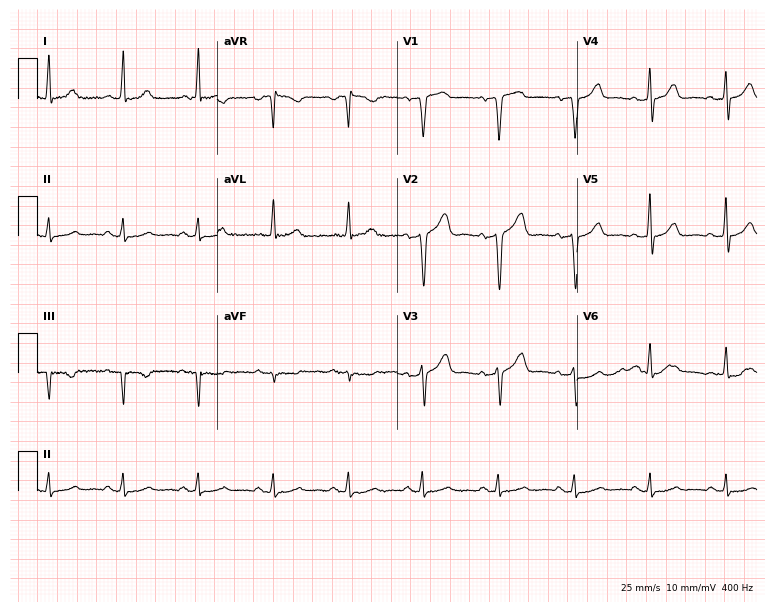
Standard 12-lead ECG recorded from a 64-year-old man (7.3-second recording at 400 Hz). None of these six findings is recorded: first-degree AV block, right bundle branch block (RBBB), left bundle branch block (LBBB), sinus bradycardia, atrial fibrillation (AF), sinus tachycardia.